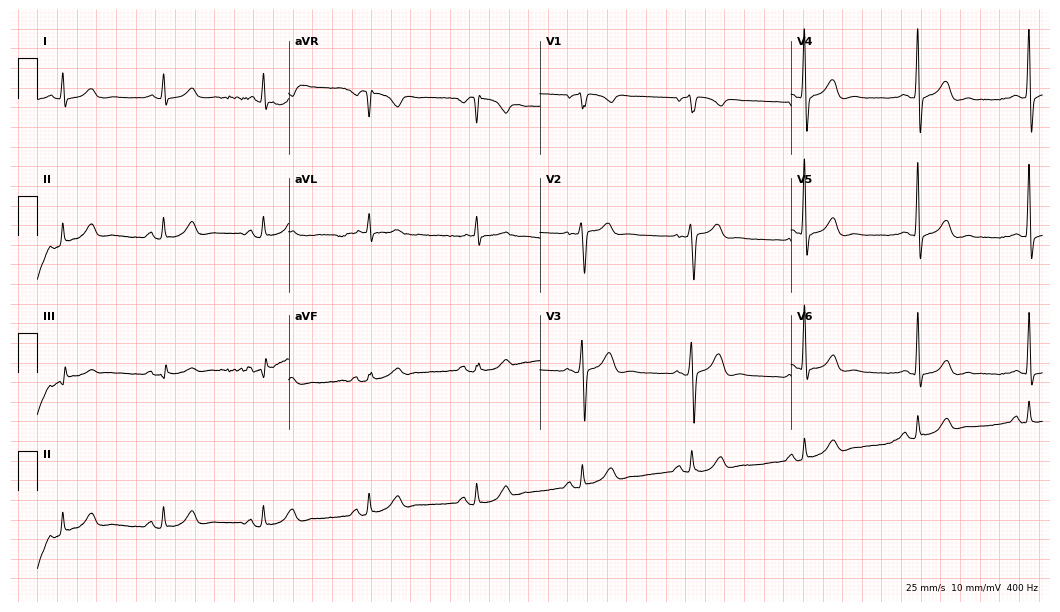
12-lead ECG (10.2-second recording at 400 Hz) from a 57-year-old male patient. Labelled as a normal ECG.